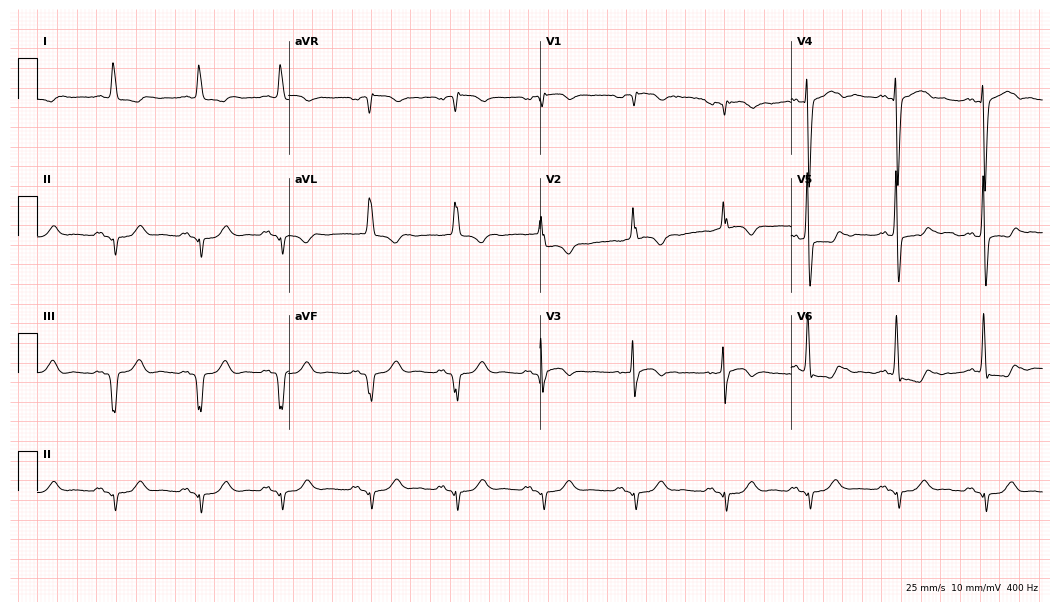
Electrocardiogram, a 47-year-old male. Of the six screened findings (first-degree AV block, right bundle branch block, left bundle branch block, sinus bradycardia, atrial fibrillation, sinus tachycardia), none is recorded. Findings outside these six are not listed.